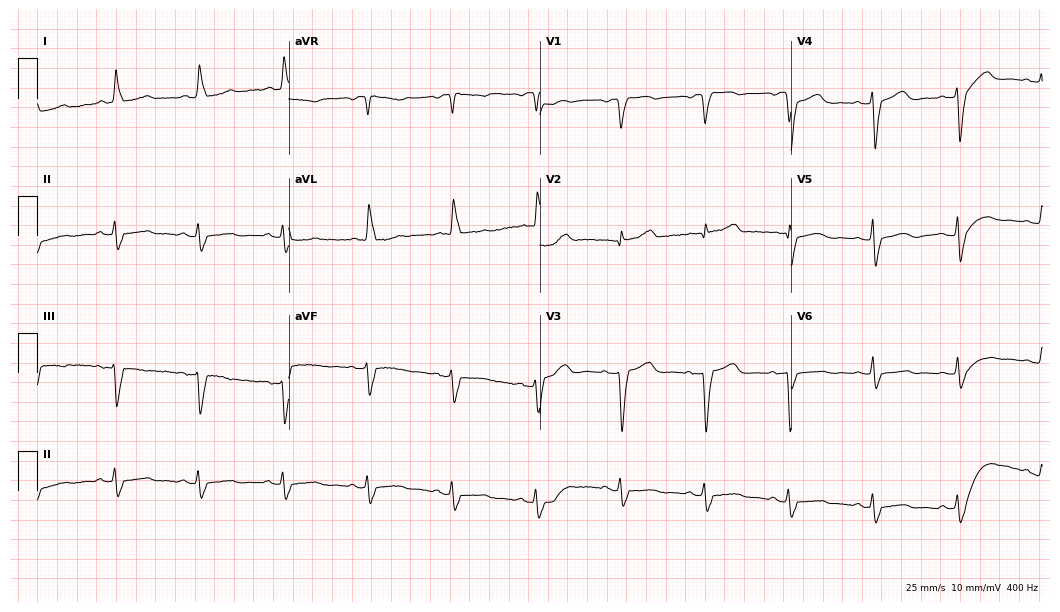
12-lead ECG from a female, 59 years old. Shows left bundle branch block.